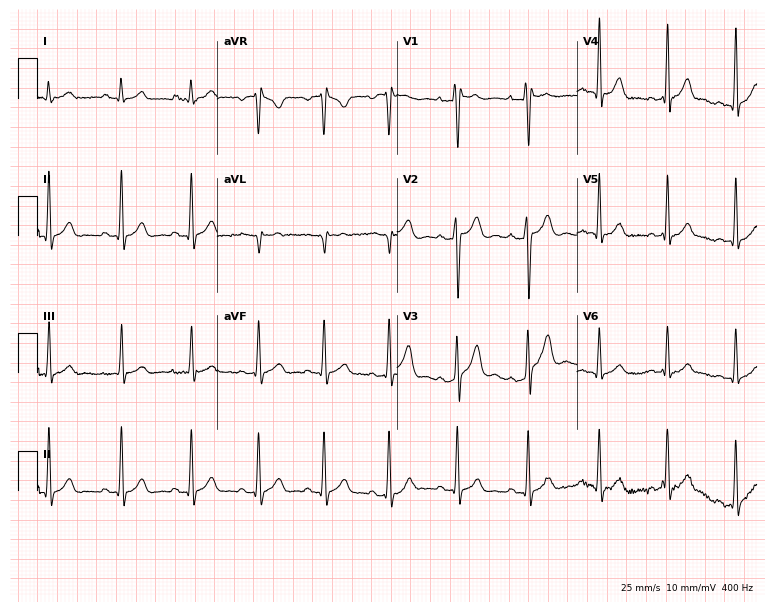
Standard 12-lead ECG recorded from a 17-year-old man (7.3-second recording at 400 Hz). Read as a normal ECG.